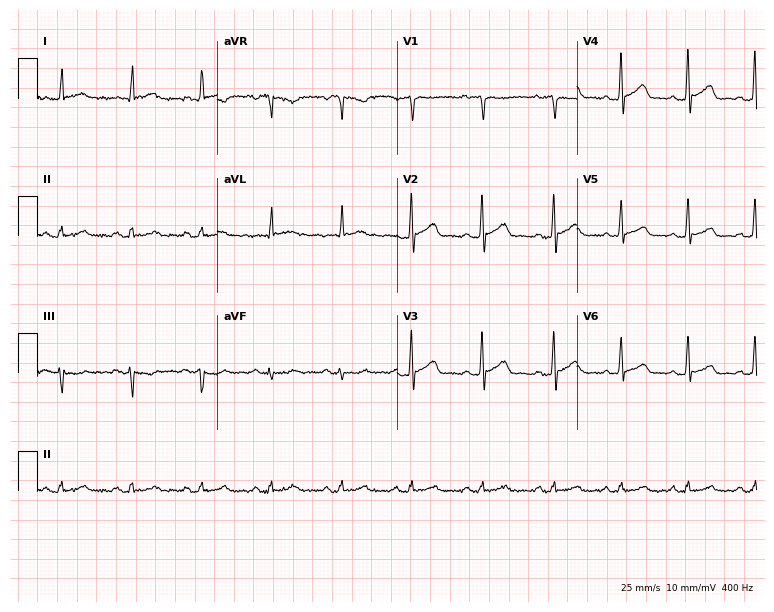
12-lead ECG from a man, 58 years old. Recorded interpretation: within normal limits.